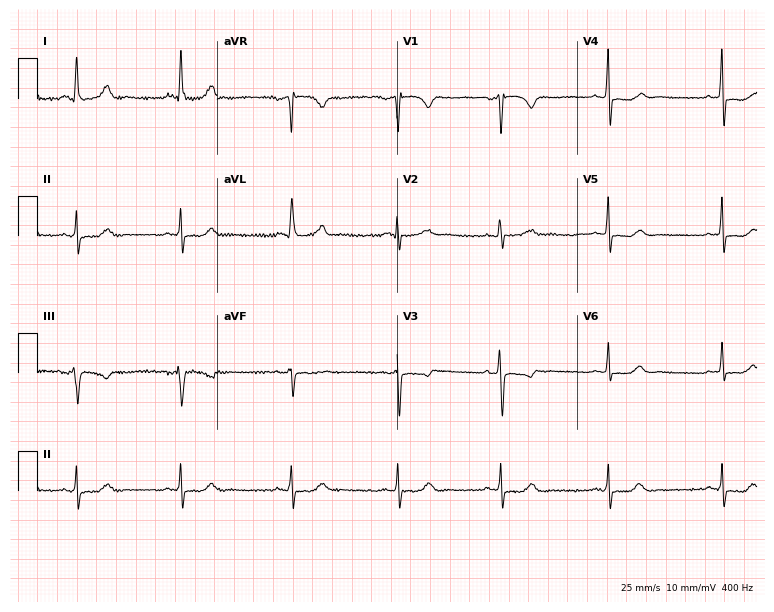
ECG — a 55-year-old woman. Labelled as a normal ECG.